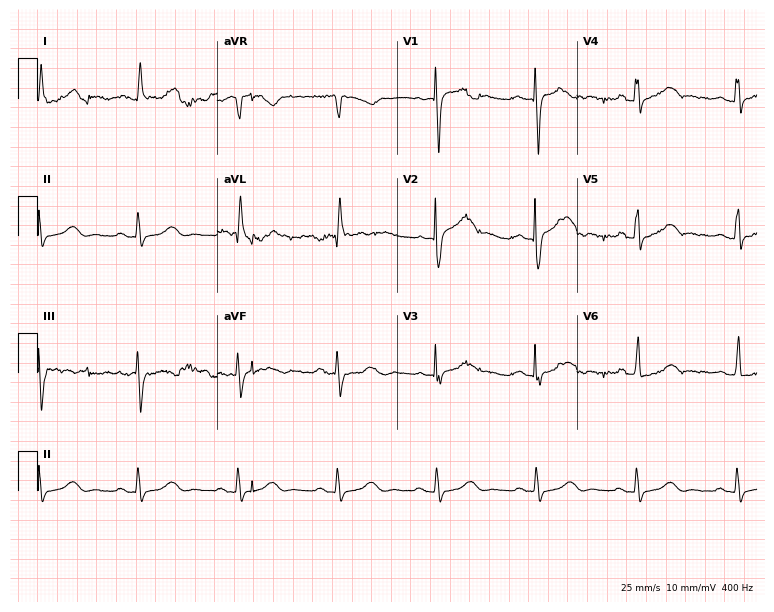
Electrocardiogram (7.3-second recording at 400 Hz), a 76-year-old woman. Of the six screened findings (first-degree AV block, right bundle branch block, left bundle branch block, sinus bradycardia, atrial fibrillation, sinus tachycardia), none is recorded. Other findings, if any, are not listed.